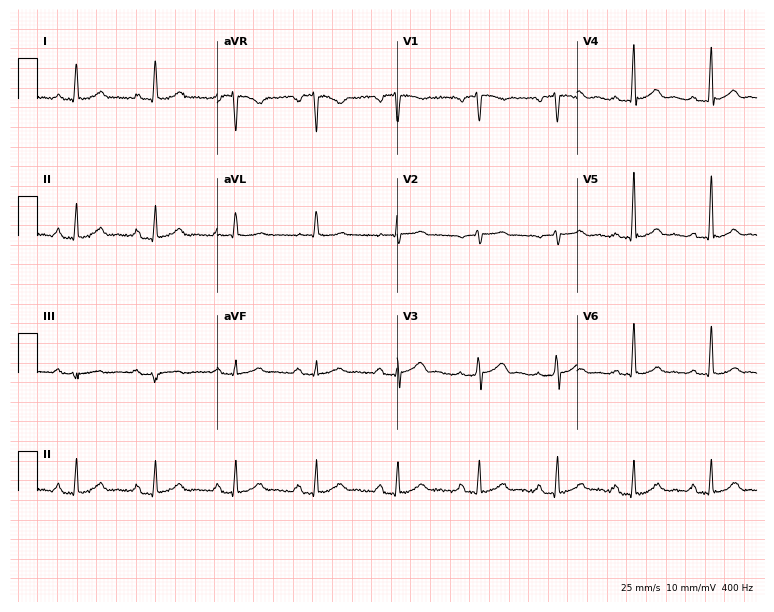
Electrocardiogram (7.3-second recording at 400 Hz), a female, 66 years old. Of the six screened findings (first-degree AV block, right bundle branch block, left bundle branch block, sinus bradycardia, atrial fibrillation, sinus tachycardia), none is recorded. Only these six findings were labelled.